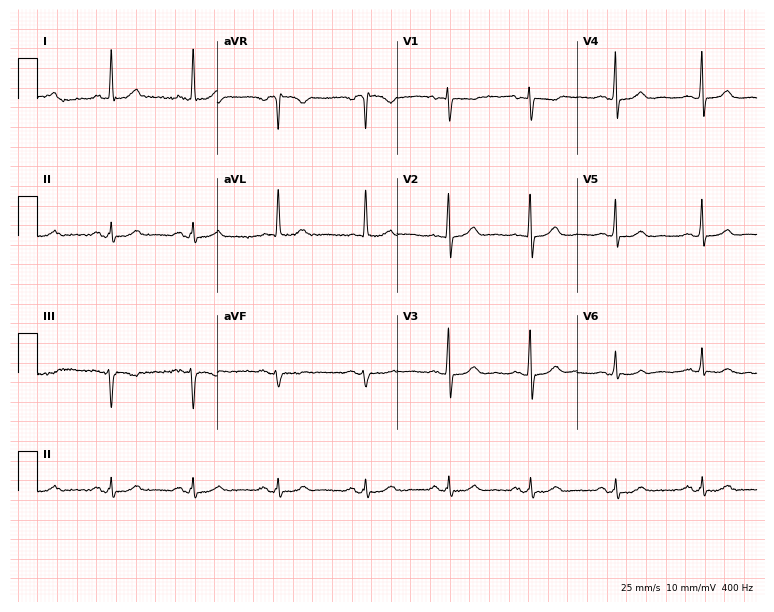
12-lead ECG from a woman, 74 years old. Recorded interpretation: within normal limits.